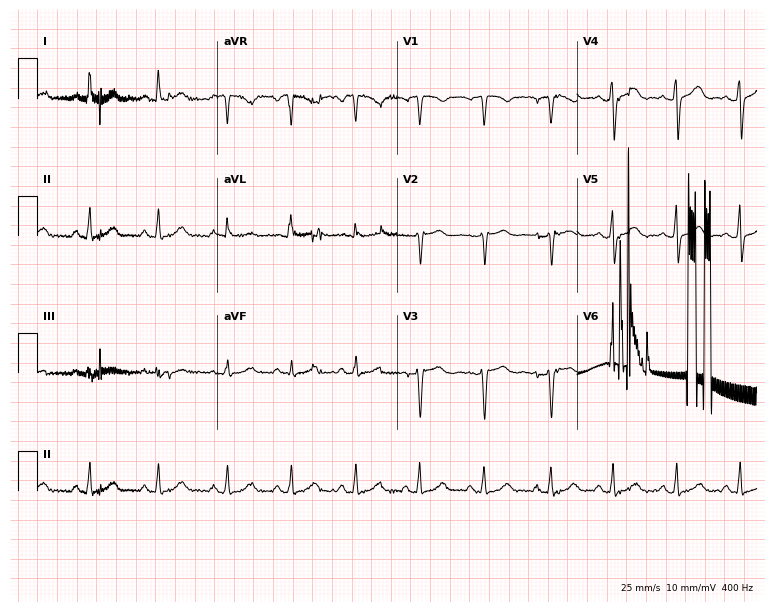
12-lead ECG (7.3-second recording at 400 Hz) from a 36-year-old woman. Screened for six findings — first-degree AV block, right bundle branch block (RBBB), left bundle branch block (LBBB), sinus bradycardia, atrial fibrillation (AF), sinus tachycardia — none is recorded.